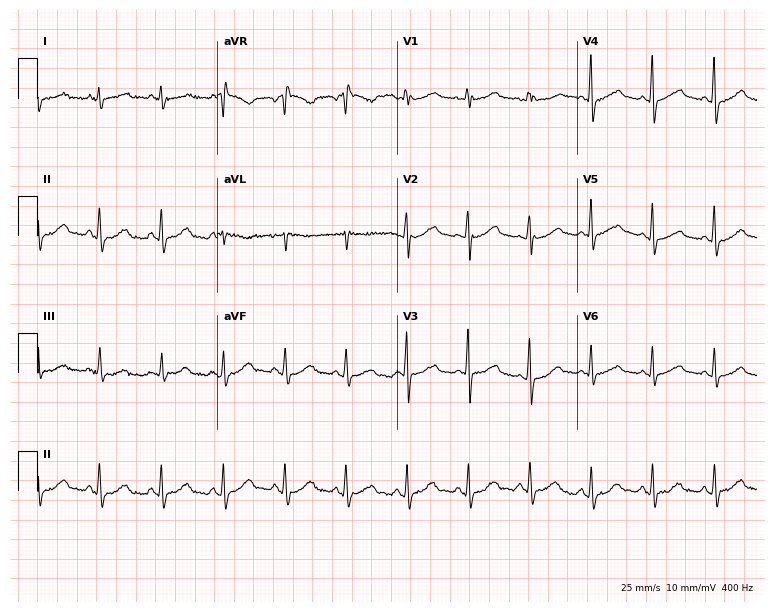
Standard 12-lead ECG recorded from a female patient, 59 years old (7.3-second recording at 400 Hz). None of these six findings is recorded: first-degree AV block, right bundle branch block, left bundle branch block, sinus bradycardia, atrial fibrillation, sinus tachycardia.